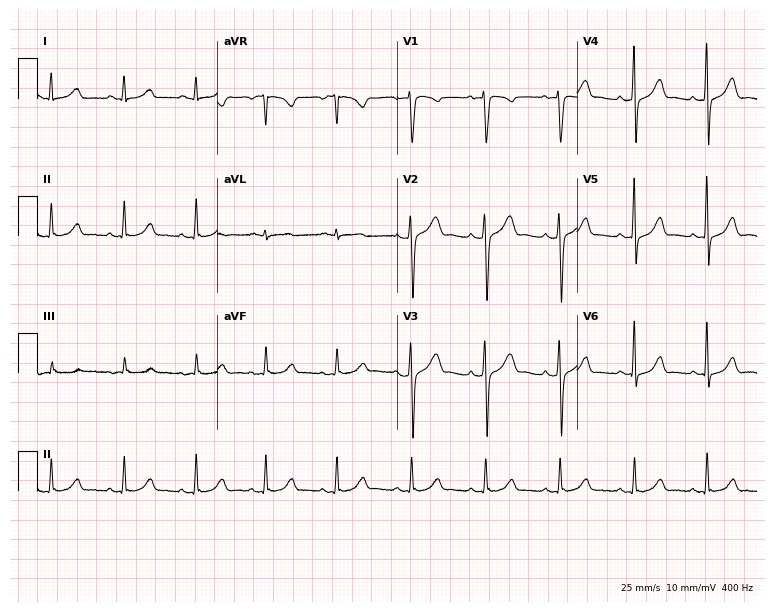
12-lead ECG from a female, 25 years old. Labelled as a normal ECG.